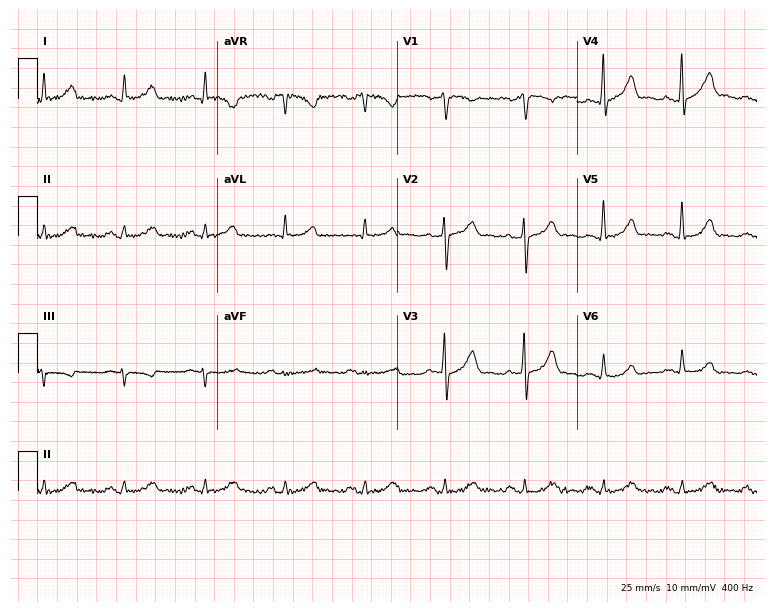
Electrocardiogram (7.3-second recording at 400 Hz), a 46-year-old male. Of the six screened findings (first-degree AV block, right bundle branch block, left bundle branch block, sinus bradycardia, atrial fibrillation, sinus tachycardia), none is recorded.